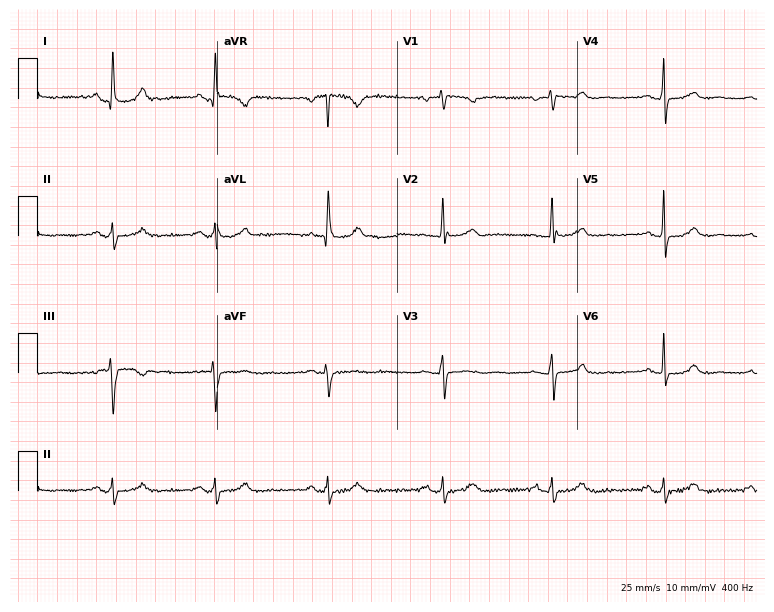
Standard 12-lead ECG recorded from a 46-year-old female (7.3-second recording at 400 Hz). Read as a normal ECG.